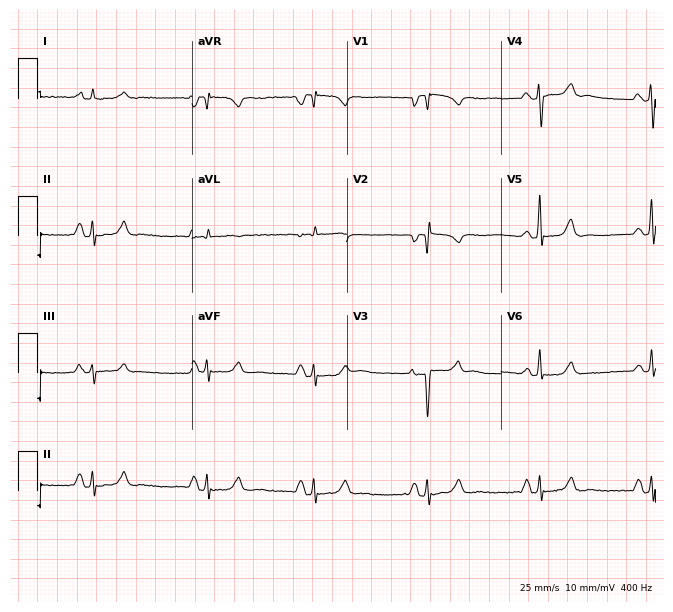
Electrocardiogram (6.3-second recording at 400 Hz), a female, 40 years old. Of the six screened findings (first-degree AV block, right bundle branch block, left bundle branch block, sinus bradycardia, atrial fibrillation, sinus tachycardia), none is recorded. Other findings, if any, are not listed.